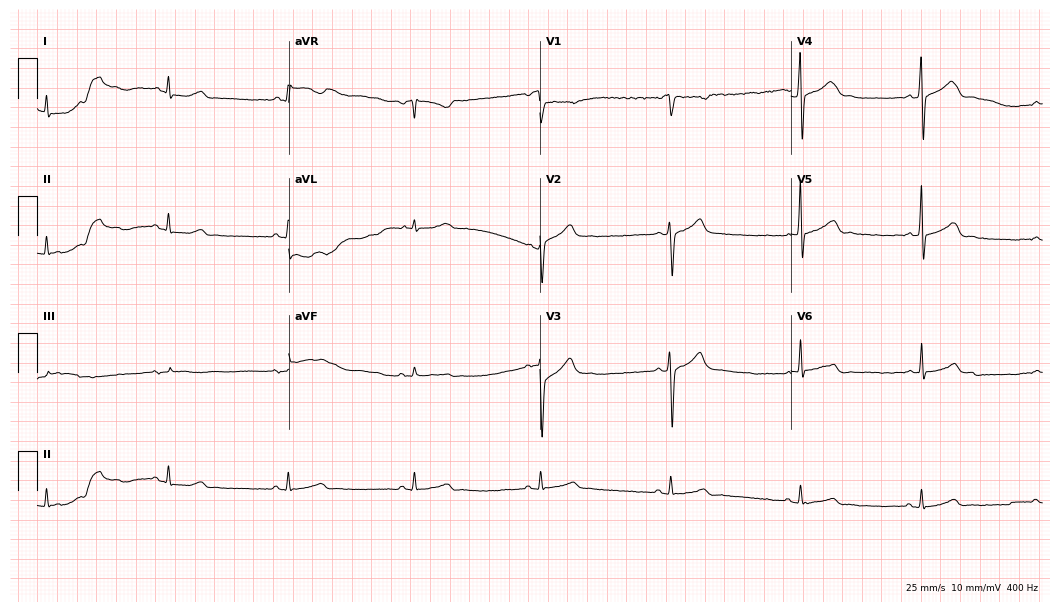
ECG (10.2-second recording at 400 Hz) — a man, 40 years old. Labelled as a normal ECG.